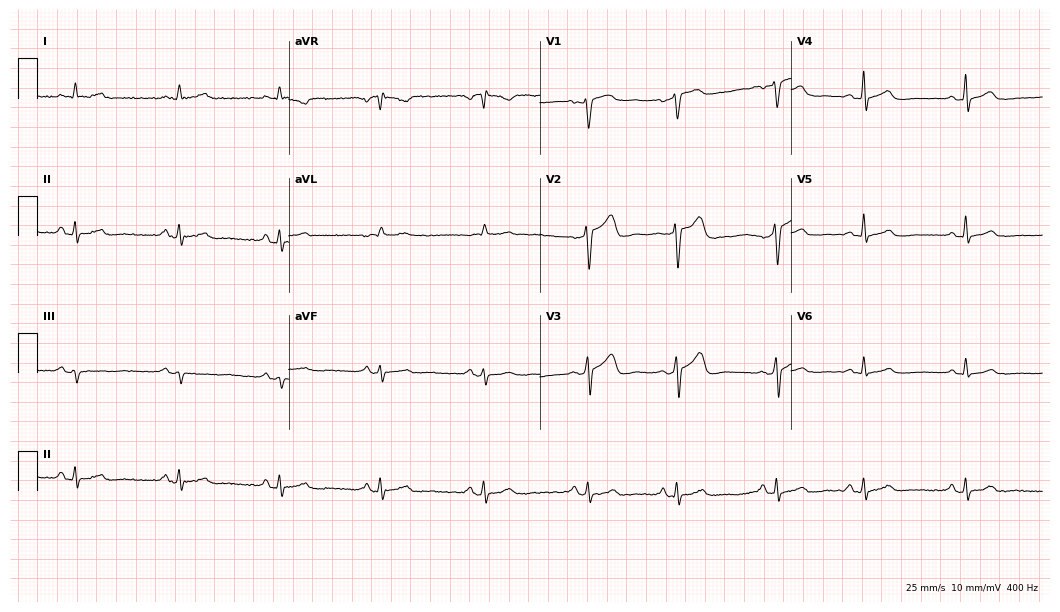
Standard 12-lead ECG recorded from a man, 65 years old. Read as a normal ECG.